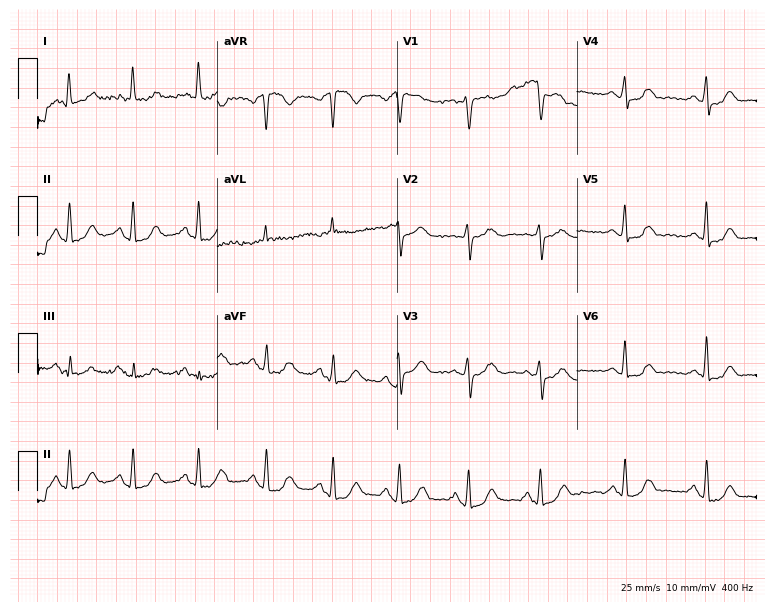
12-lead ECG (7.3-second recording at 400 Hz) from a 45-year-old female patient. Screened for six findings — first-degree AV block, right bundle branch block, left bundle branch block, sinus bradycardia, atrial fibrillation, sinus tachycardia — none is recorded.